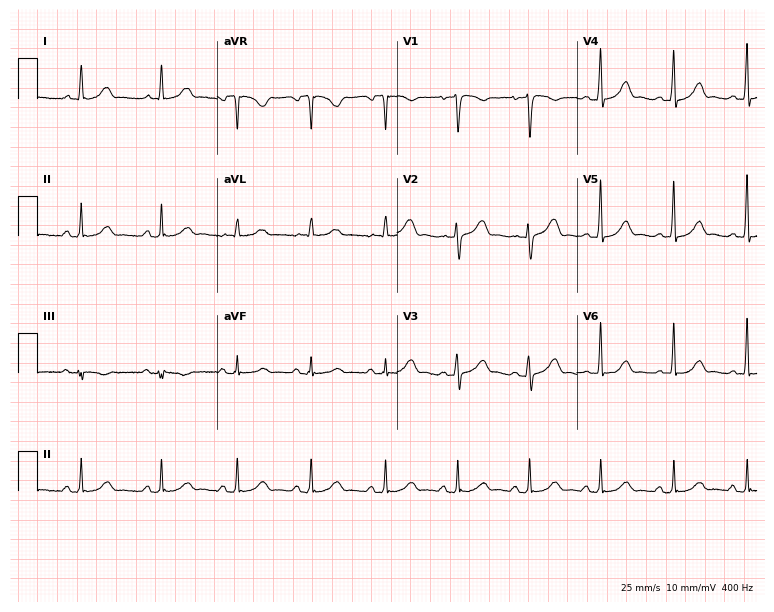
12-lead ECG (7.3-second recording at 400 Hz) from a 48-year-old female. Labelled as a normal ECG.